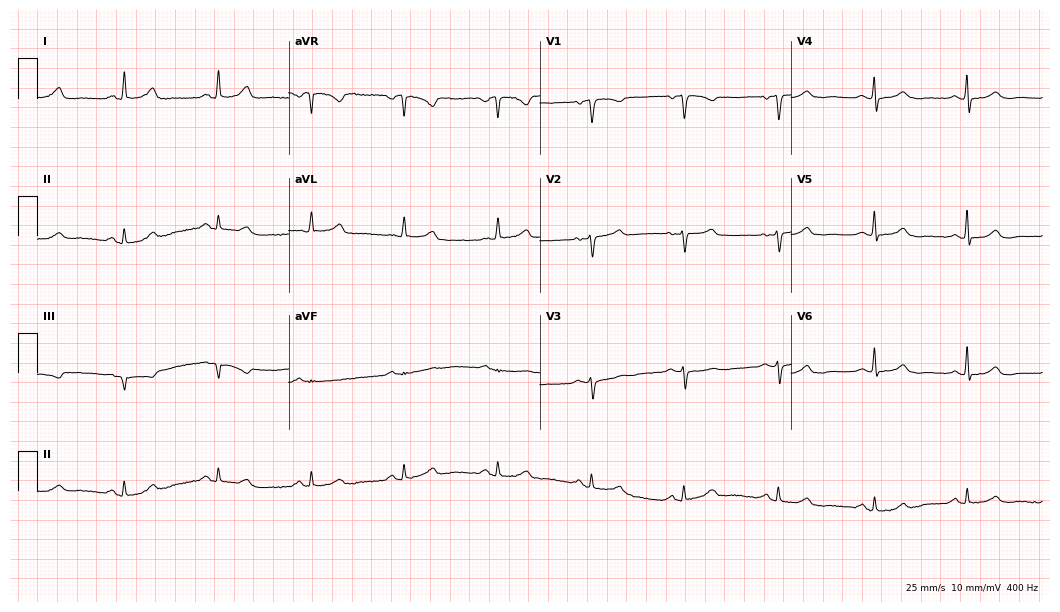
12-lead ECG from a 73-year-old female. Recorded interpretation: within normal limits.